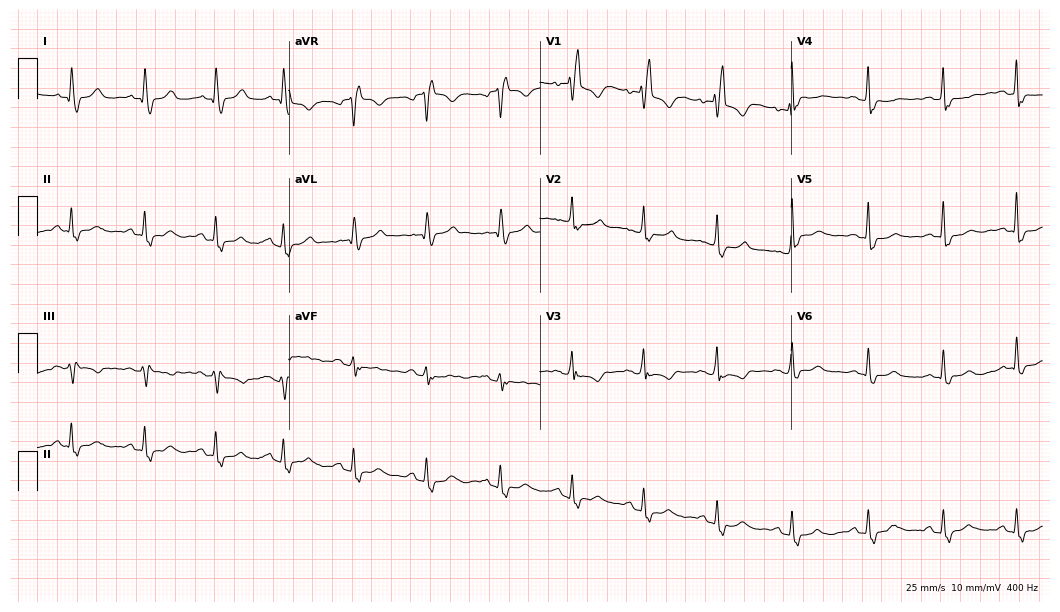
Standard 12-lead ECG recorded from a 63-year-old female patient. The tracing shows right bundle branch block.